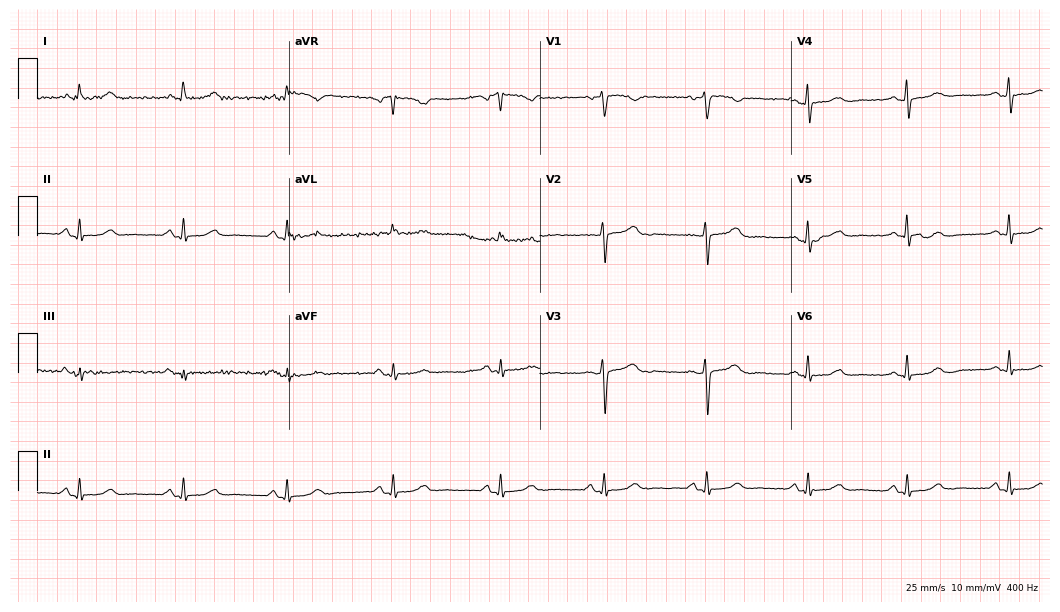
Resting 12-lead electrocardiogram (10.2-second recording at 400 Hz). Patient: a 63-year-old female. Read as a normal ECG.